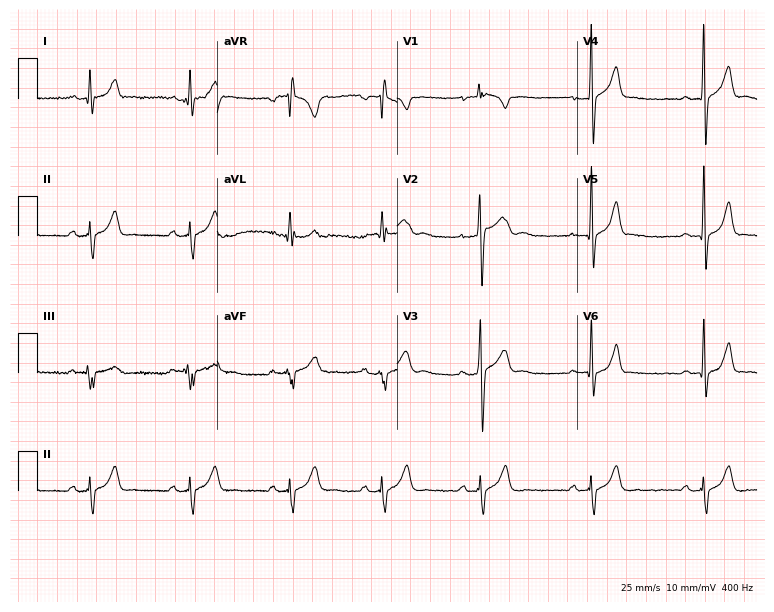
Electrocardiogram (7.3-second recording at 400 Hz), a male patient, 23 years old. Overall reading on record: normal ECG.